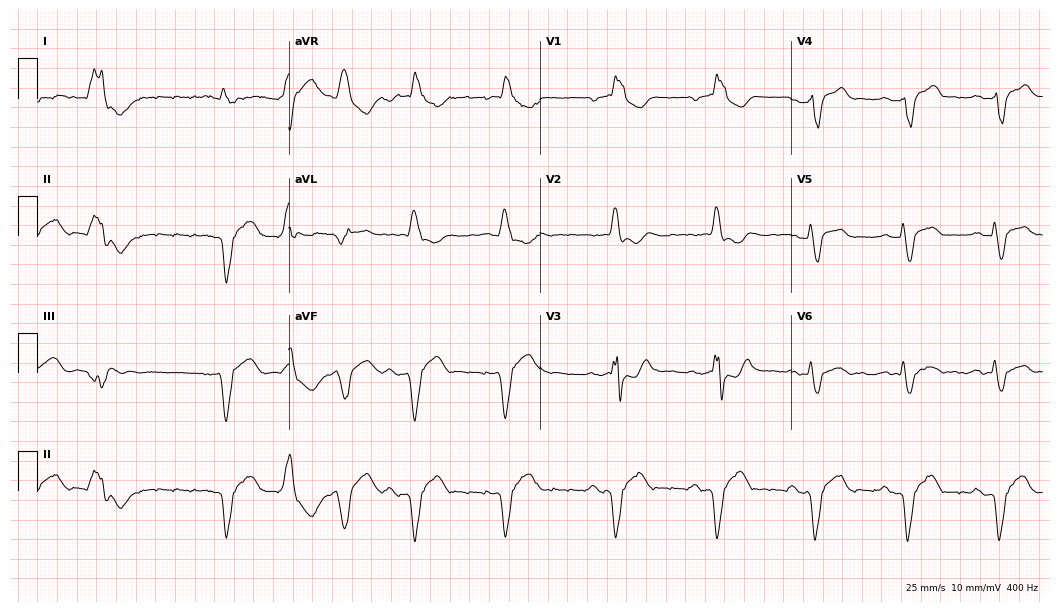
Electrocardiogram, a 78-year-old man. Interpretation includes right bundle branch block (RBBB), left bundle branch block (LBBB).